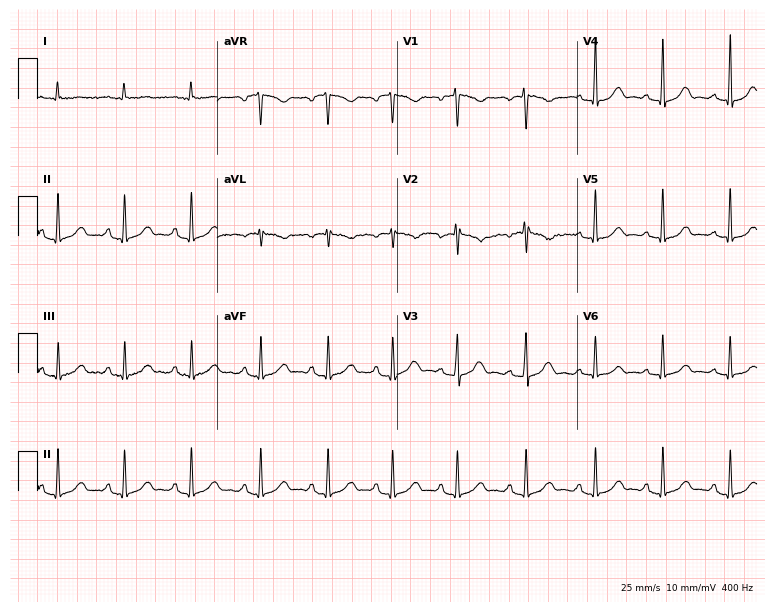
ECG (7.3-second recording at 400 Hz) — a female patient, 30 years old. Labelled as a normal ECG.